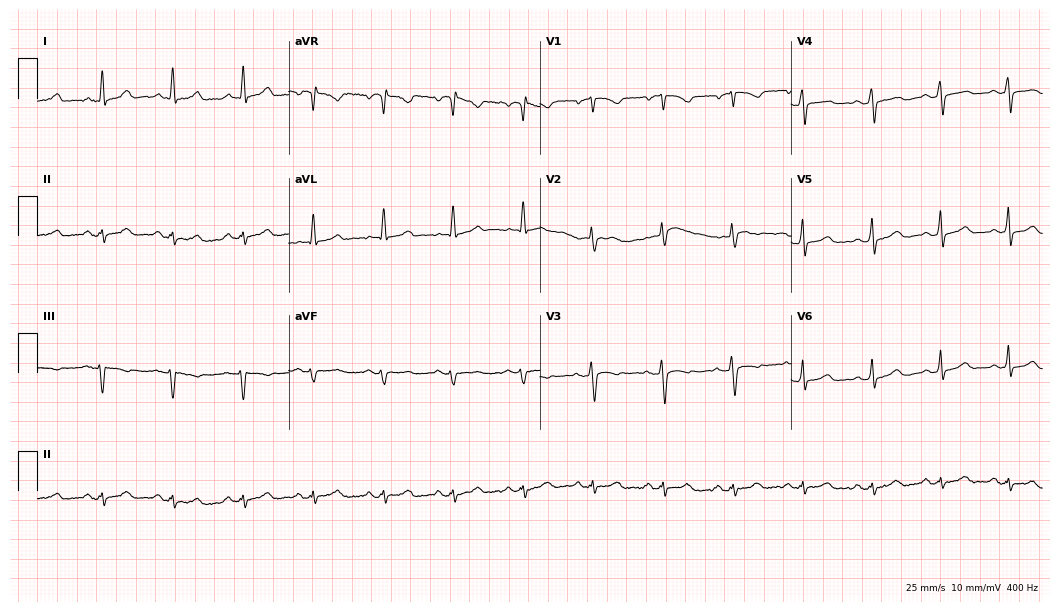
12-lead ECG from a female, 58 years old. No first-degree AV block, right bundle branch block (RBBB), left bundle branch block (LBBB), sinus bradycardia, atrial fibrillation (AF) or sinus tachycardia recorded for this tracing.